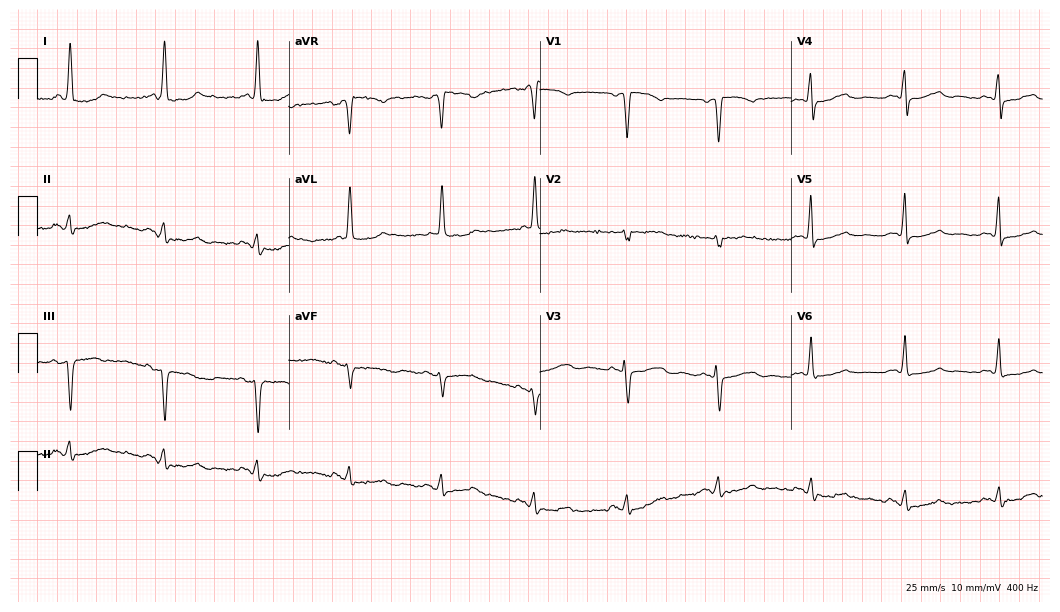
Standard 12-lead ECG recorded from a 73-year-old female (10.2-second recording at 400 Hz). Read as a normal ECG.